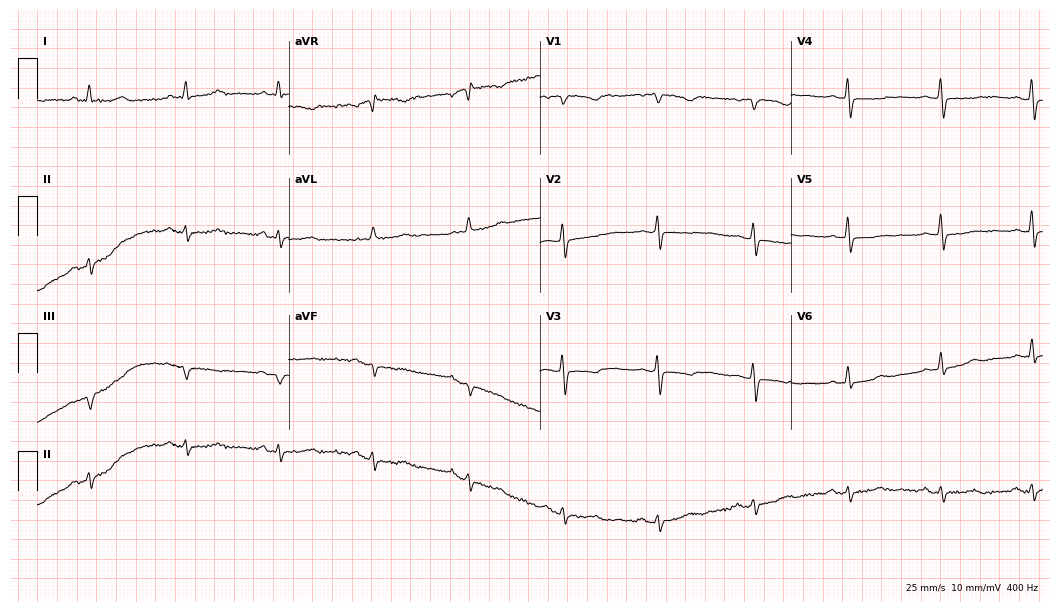
ECG (10.2-second recording at 400 Hz) — a woman, 49 years old. Screened for six findings — first-degree AV block, right bundle branch block, left bundle branch block, sinus bradycardia, atrial fibrillation, sinus tachycardia — none is recorded.